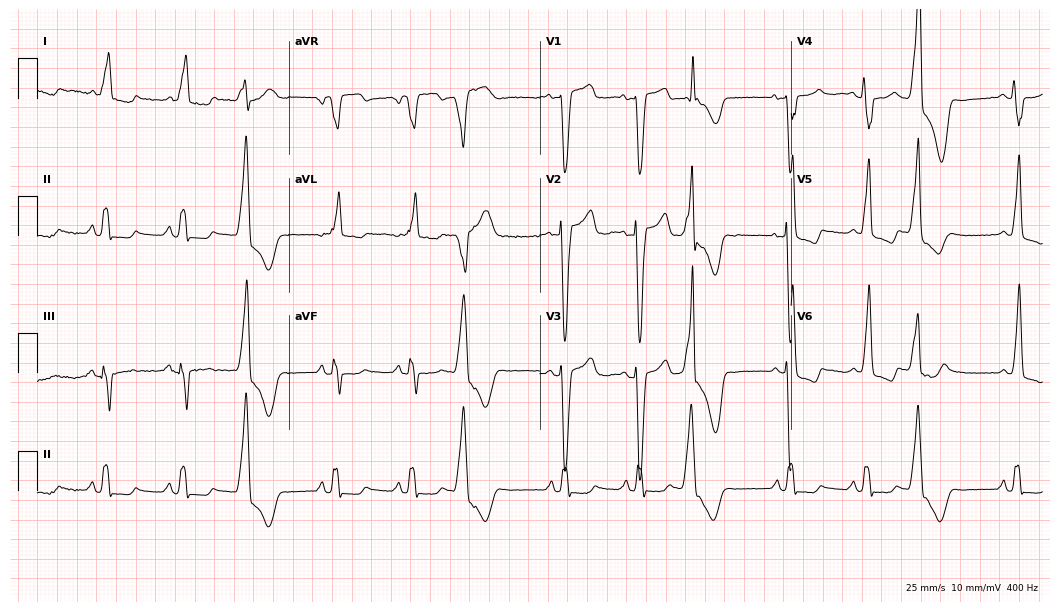
Standard 12-lead ECG recorded from a female, 79 years old. The tracing shows left bundle branch block (LBBB).